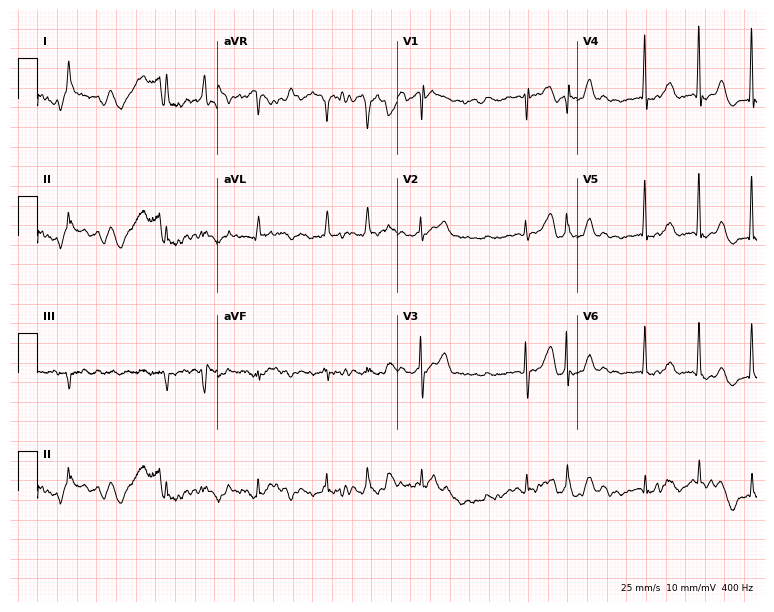
Electrocardiogram (7.3-second recording at 400 Hz), a 76-year-old female. Of the six screened findings (first-degree AV block, right bundle branch block, left bundle branch block, sinus bradycardia, atrial fibrillation, sinus tachycardia), none is recorded. Only these six findings were labelled.